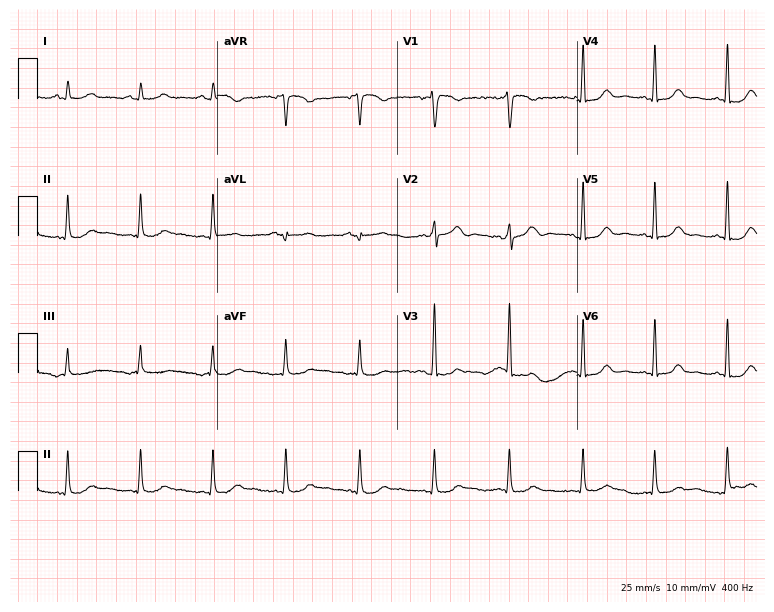
Resting 12-lead electrocardiogram (7.3-second recording at 400 Hz). Patient: a 46-year-old female. None of these six findings is recorded: first-degree AV block, right bundle branch block, left bundle branch block, sinus bradycardia, atrial fibrillation, sinus tachycardia.